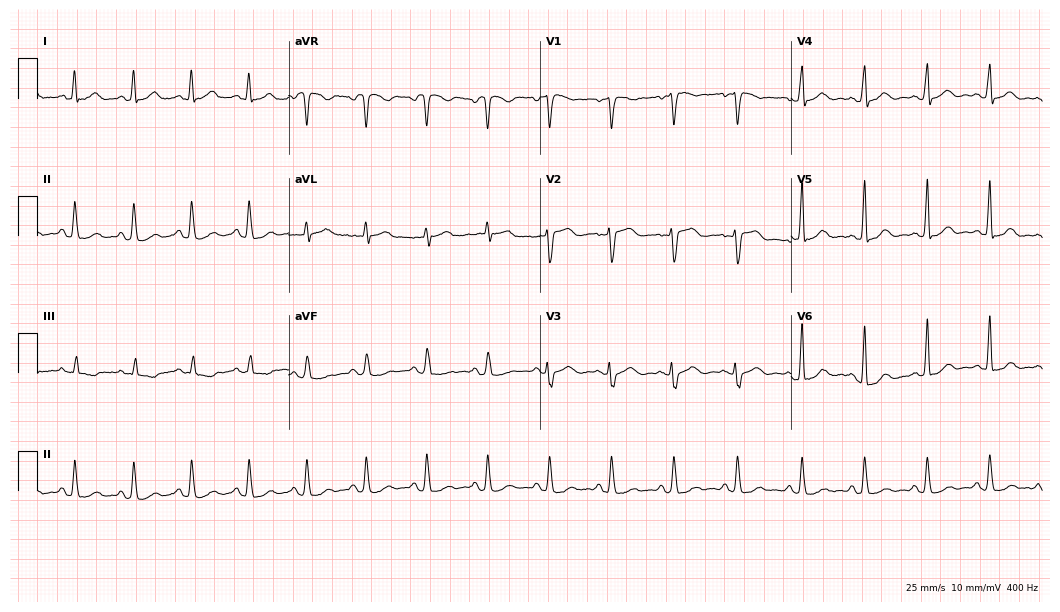
ECG — a 55-year-old female patient. Screened for six findings — first-degree AV block, right bundle branch block, left bundle branch block, sinus bradycardia, atrial fibrillation, sinus tachycardia — none is recorded.